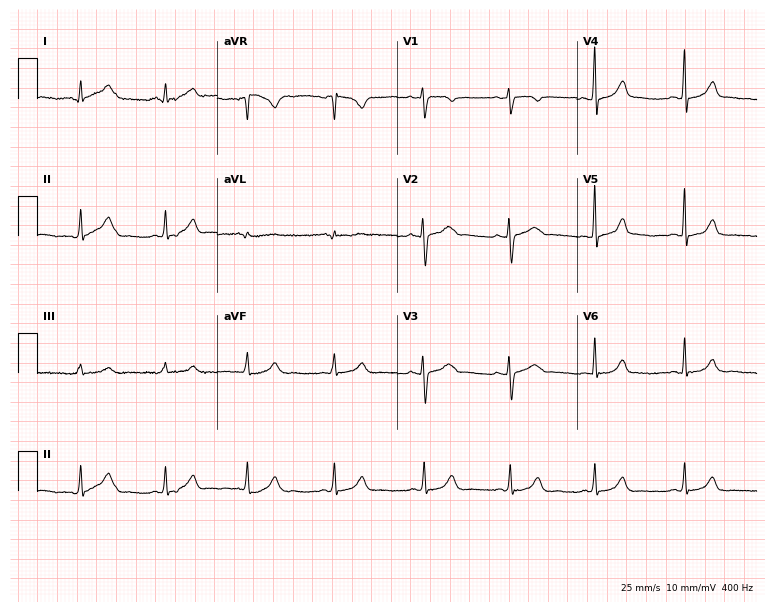
12-lead ECG (7.3-second recording at 400 Hz) from a female, 41 years old. Labelled as a normal ECG.